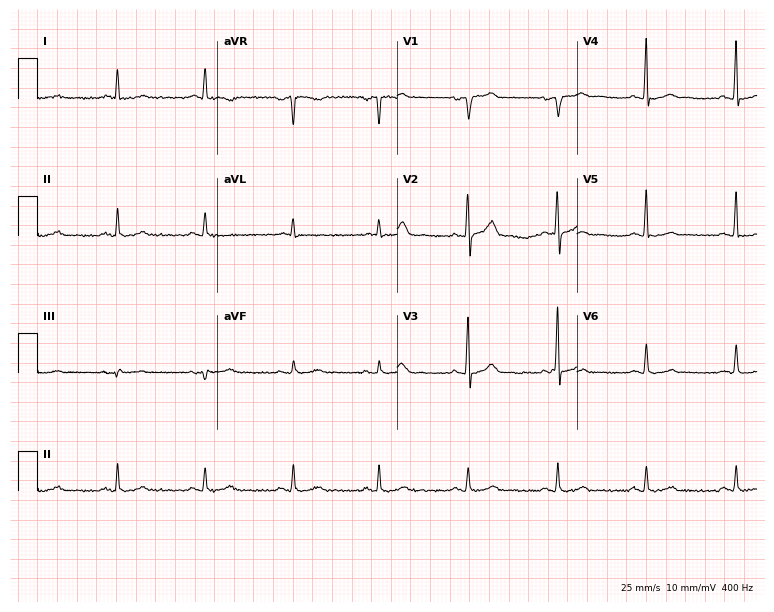
Standard 12-lead ECG recorded from a male patient, 66 years old. Read as a normal ECG.